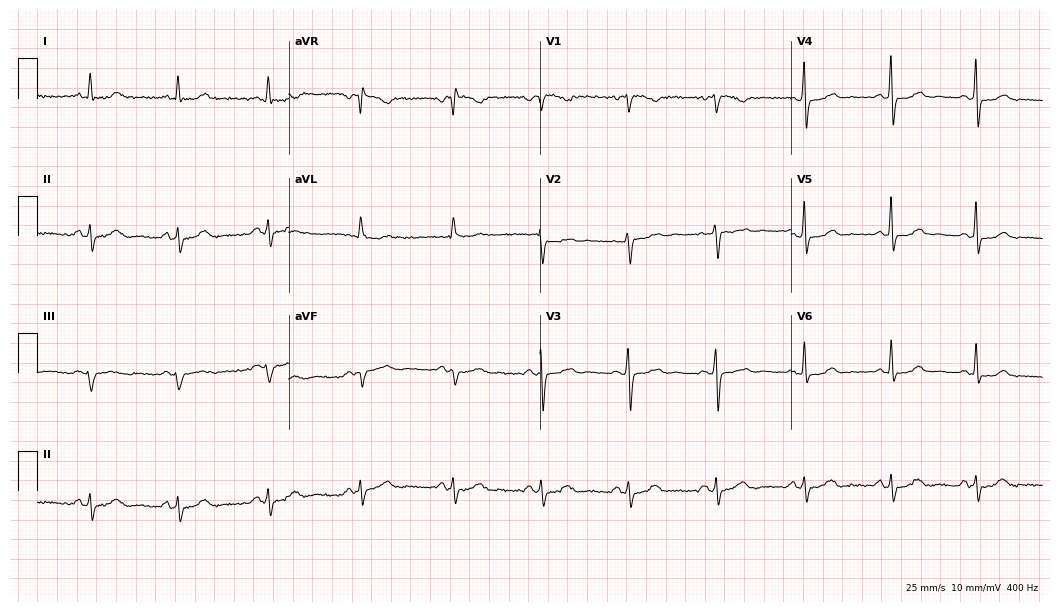
ECG — a female, 48 years old. Screened for six findings — first-degree AV block, right bundle branch block (RBBB), left bundle branch block (LBBB), sinus bradycardia, atrial fibrillation (AF), sinus tachycardia — none is recorded. Findings outside these six are not listed.